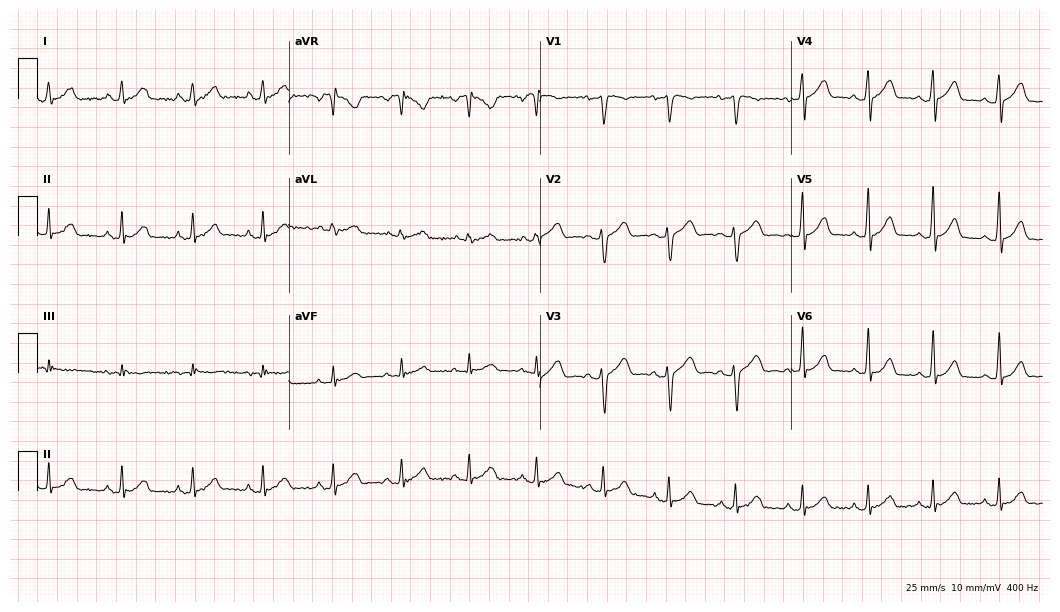
Standard 12-lead ECG recorded from a female, 34 years old (10.2-second recording at 400 Hz). Read as a normal ECG.